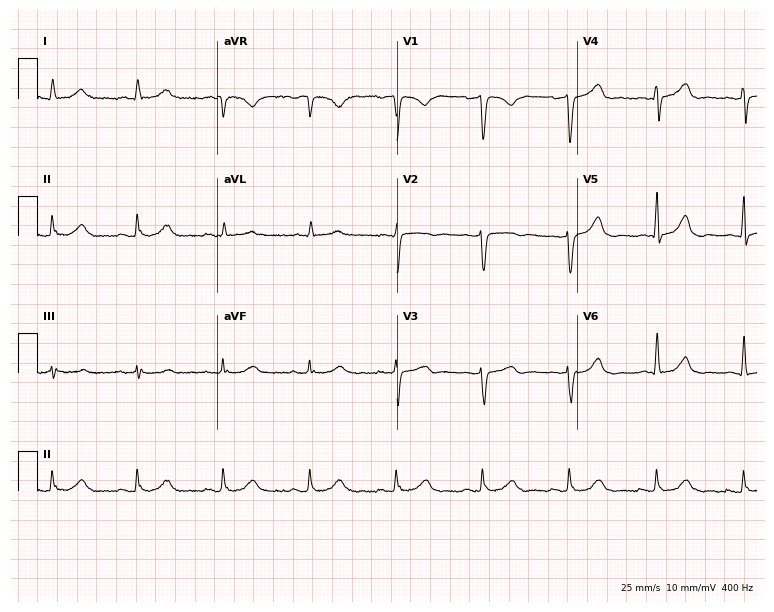
Standard 12-lead ECG recorded from a male, 53 years old. None of these six findings is recorded: first-degree AV block, right bundle branch block, left bundle branch block, sinus bradycardia, atrial fibrillation, sinus tachycardia. Findings outside these six are not listed.